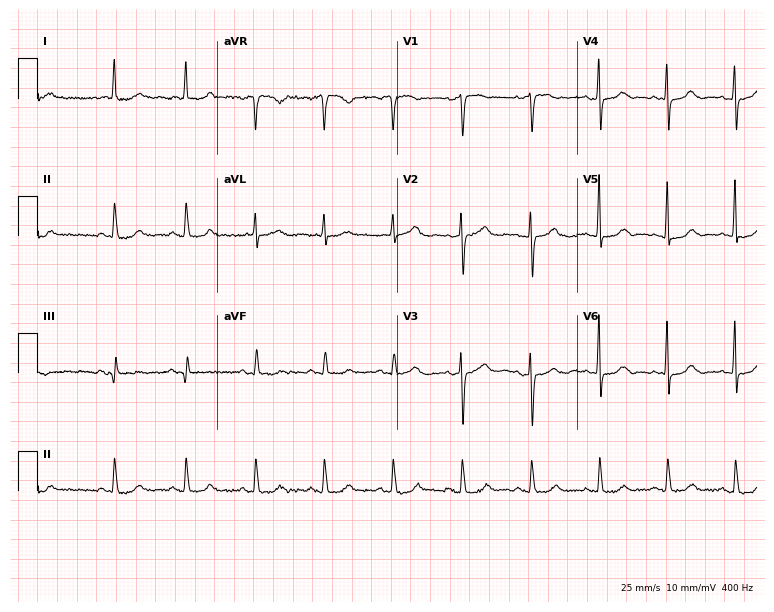
Standard 12-lead ECG recorded from an 80-year-old female patient. Read as a normal ECG.